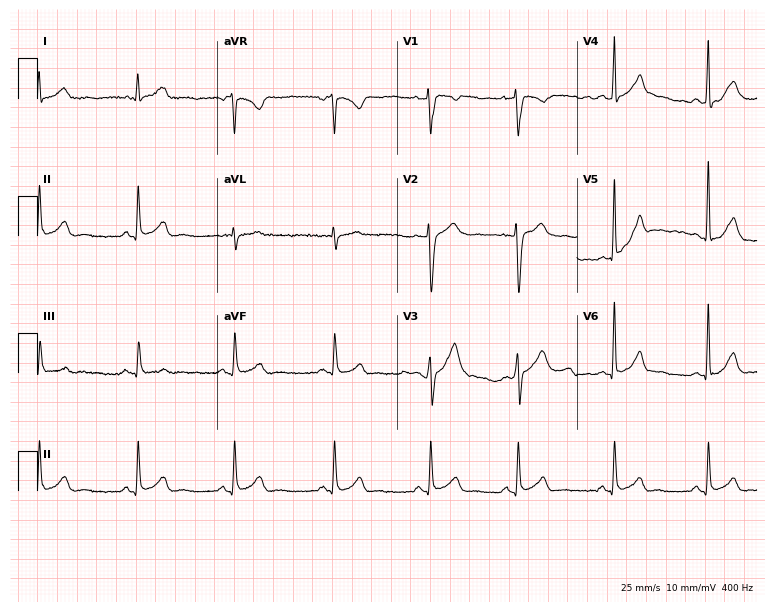
Resting 12-lead electrocardiogram. Patient: a 27-year-old man. Read as a normal ECG.